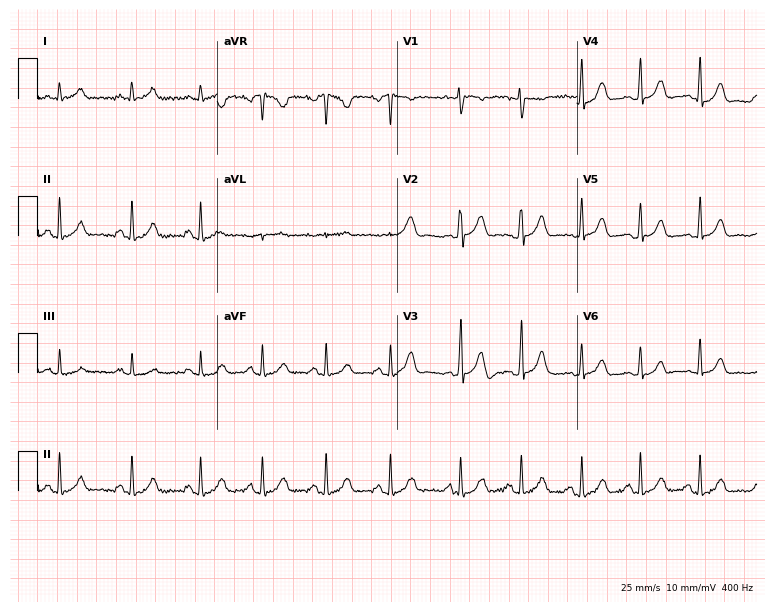
Resting 12-lead electrocardiogram. Patient: a 21-year-old female. None of these six findings is recorded: first-degree AV block, right bundle branch block, left bundle branch block, sinus bradycardia, atrial fibrillation, sinus tachycardia. Findings outside these six are not listed.